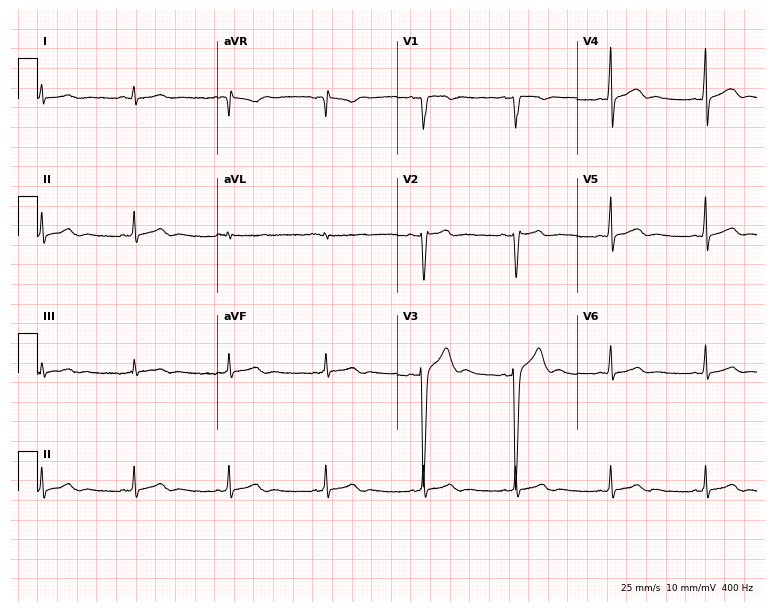
ECG (7.3-second recording at 400 Hz) — a man, 18 years old. Labelled as a normal ECG.